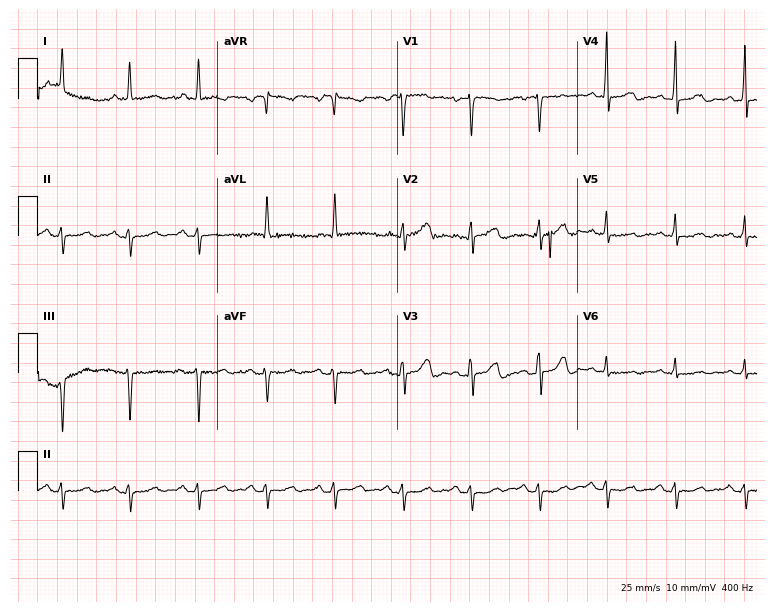
12-lead ECG from a 49-year-old female (7.3-second recording at 400 Hz). No first-degree AV block, right bundle branch block, left bundle branch block, sinus bradycardia, atrial fibrillation or sinus tachycardia recorded for this tracing. Other findings, if any, are not listed.